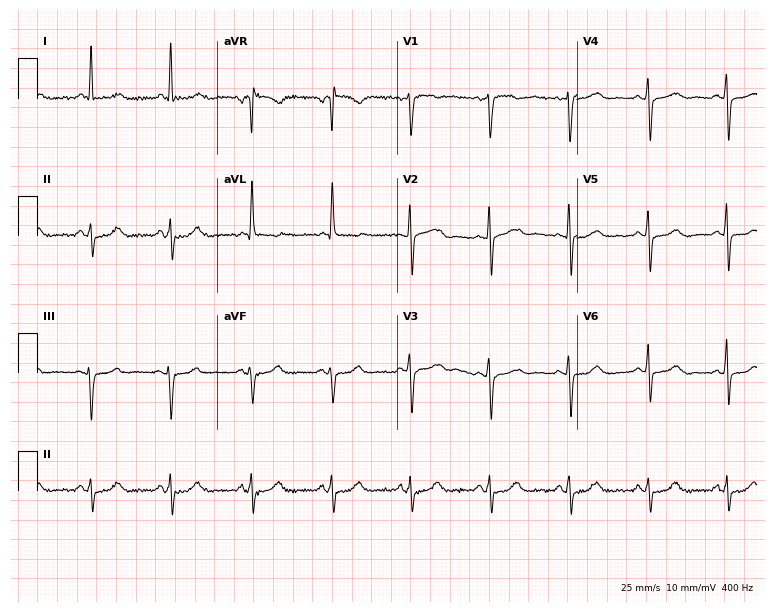
Resting 12-lead electrocardiogram (7.3-second recording at 400 Hz). Patient: a 51-year-old female. None of these six findings is recorded: first-degree AV block, right bundle branch block, left bundle branch block, sinus bradycardia, atrial fibrillation, sinus tachycardia. Findings outside these six are not listed.